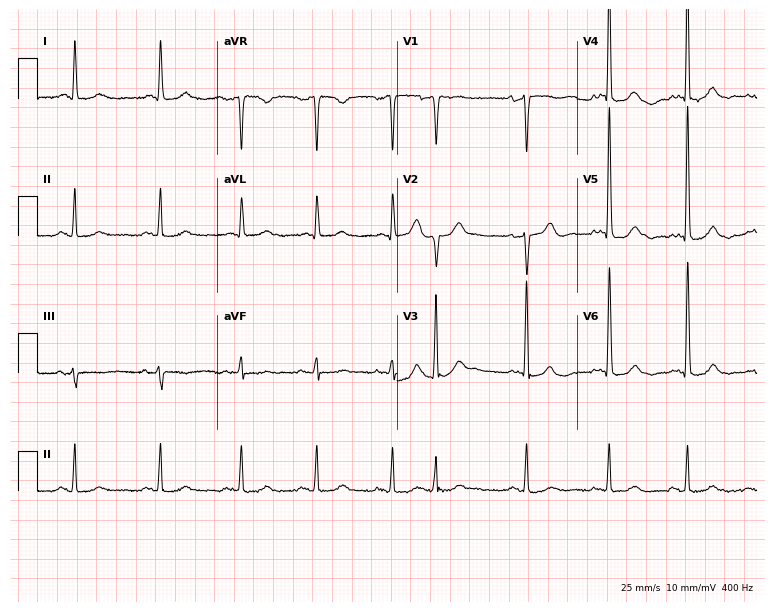
ECG — an 82-year-old female patient. Screened for six findings — first-degree AV block, right bundle branch block, left bundle branch block, sinus bradycardia, atrial fibrillation, sinus tachycardia — none is recorded.